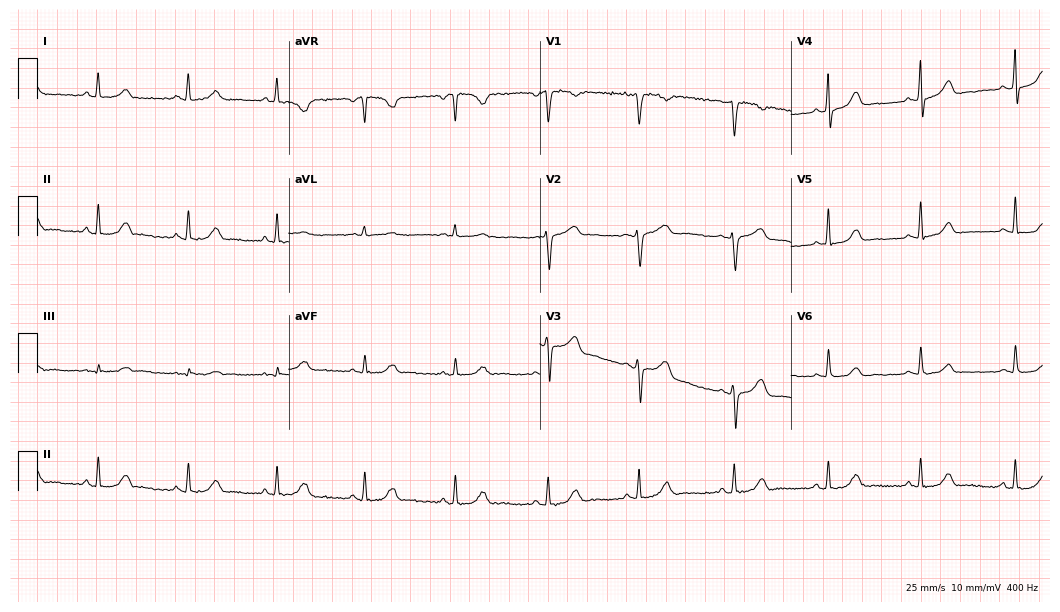
Resting 12-lead electrocardiogram. Patient: a 41-year-old woman. Read as a normal ECG.